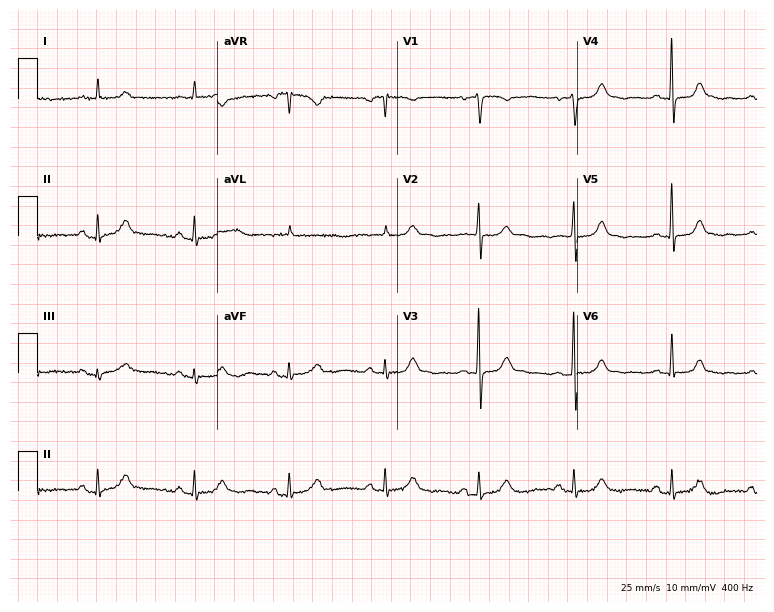
Standard 12-lead ECG recorded from a 76-year-old woman (7.3-second recording at 400 Hz). Read as a normal ECG.